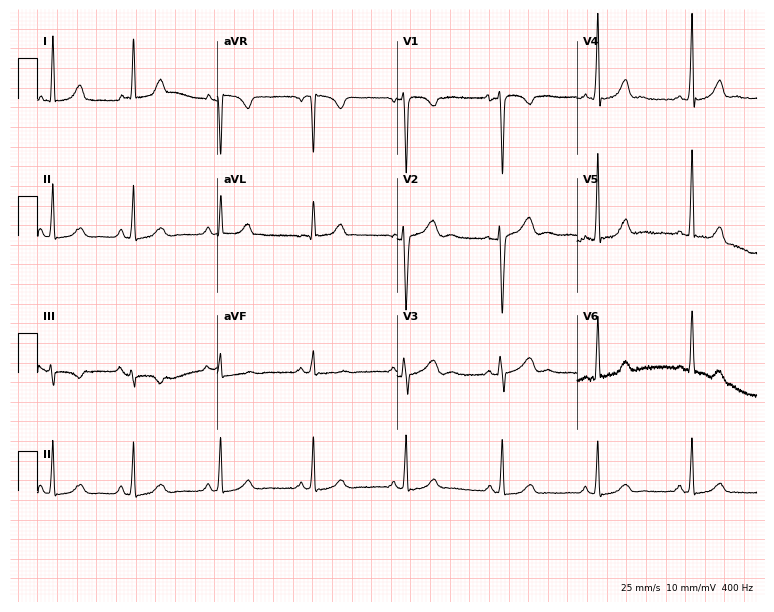
Standard 12-lead ECG recorded from a woman, 29 years old. Read as a normal ECG.